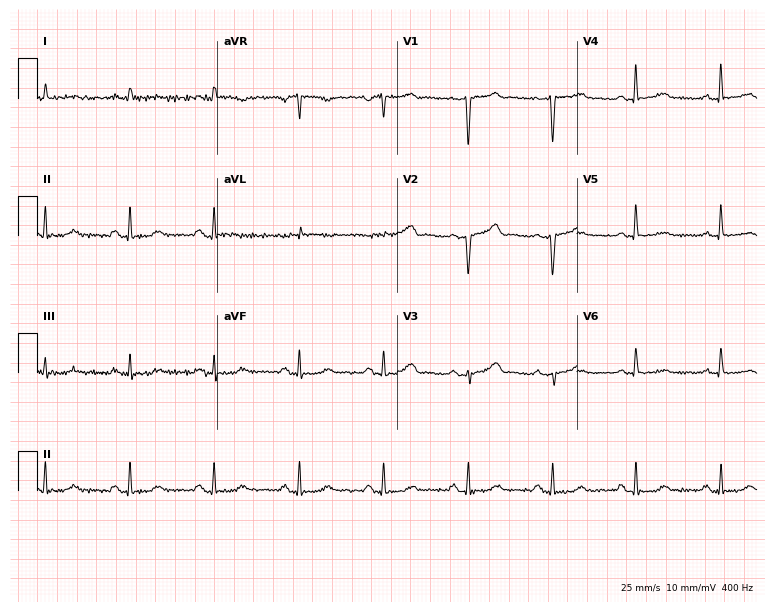
12-lead ECG (7.3-second recording at 400 Hz) from a female patient, 48 years old. Screened for six findings — first-degree AV block, right bundle branch block, left bundle branch block, sinus bradycardia, atrial fibrillation, sinus tachycardia — none is recorded. Only these six findings were labelled.